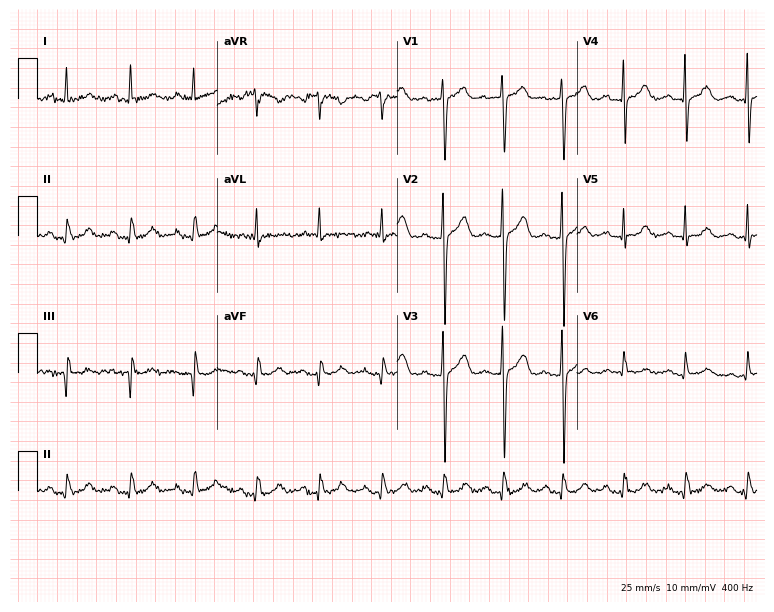
12-lead ECG (7.3-second recording at 400 Hz) from a male patient, 69 years old. Labelled as a normal ECG.